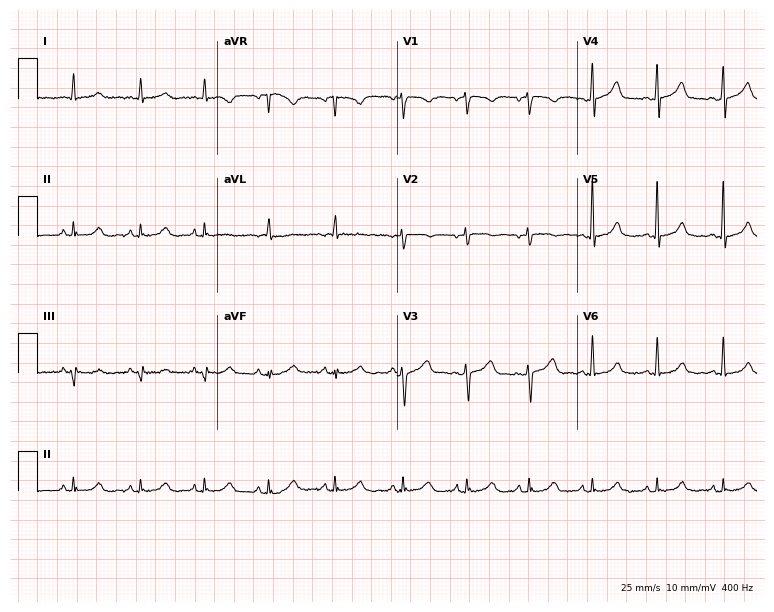
12-lead ECG from a 49-year-old woman. Screened for six findings — first-degree AV block, right bundle branch block, left bundle branch block, sinus bradycardia, atrial fibrillation, sinus tachycardia — none is recorded.